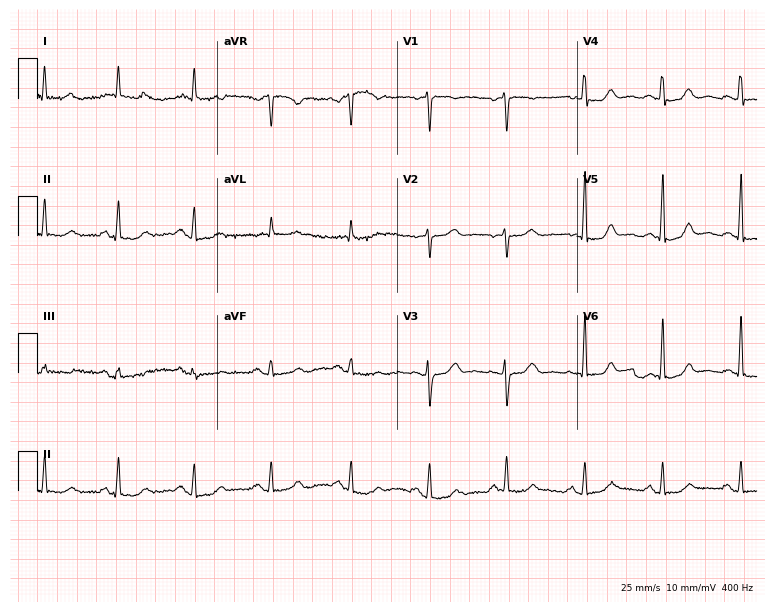
12-lead ECG from a woman, 59 years old. Screened for six findings — first-degree AV block, right bundle branch block, left bundle branch block, sinus bradycardia, atrial fibrillation, sinus tachycardia — none is recorded. Only these six findings were labelled.